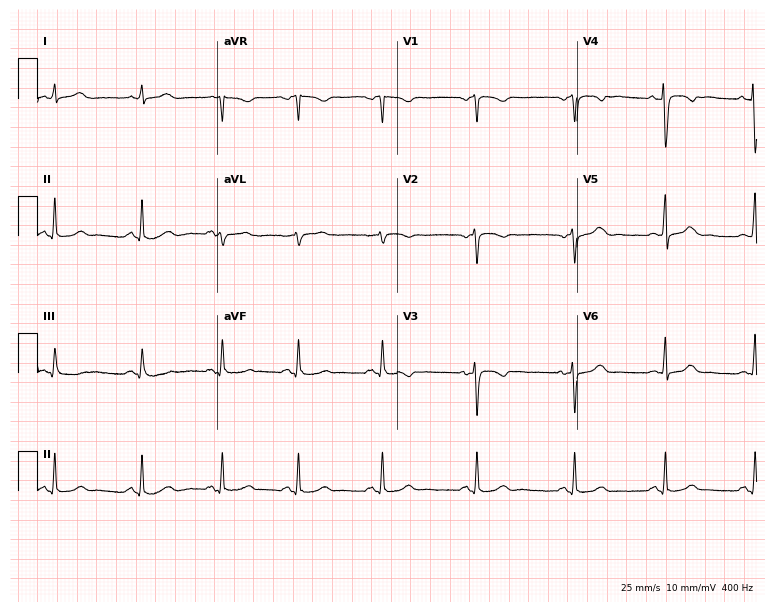
12-lead ECG from a 28-year-old female. Recorded interpretation: within normal limits.